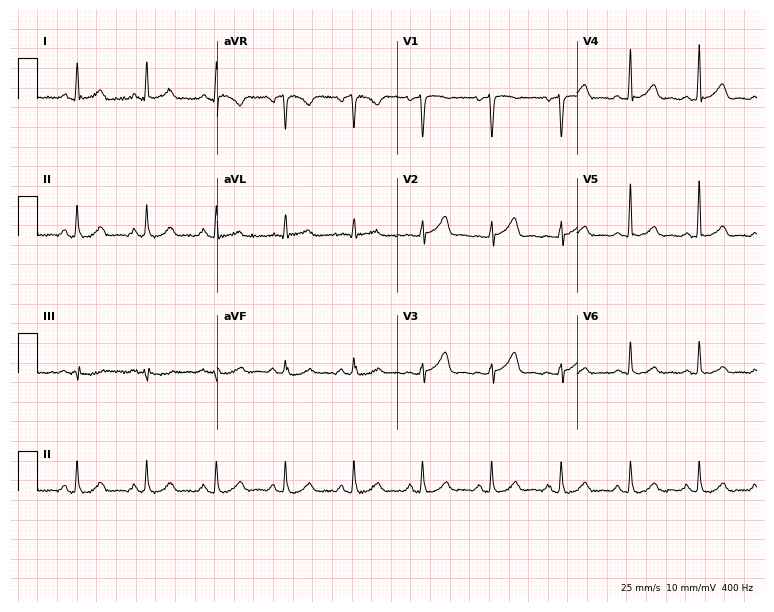
Electrocardiogram, a 59-year-old female patient. Overall reading on record: normal ECG.